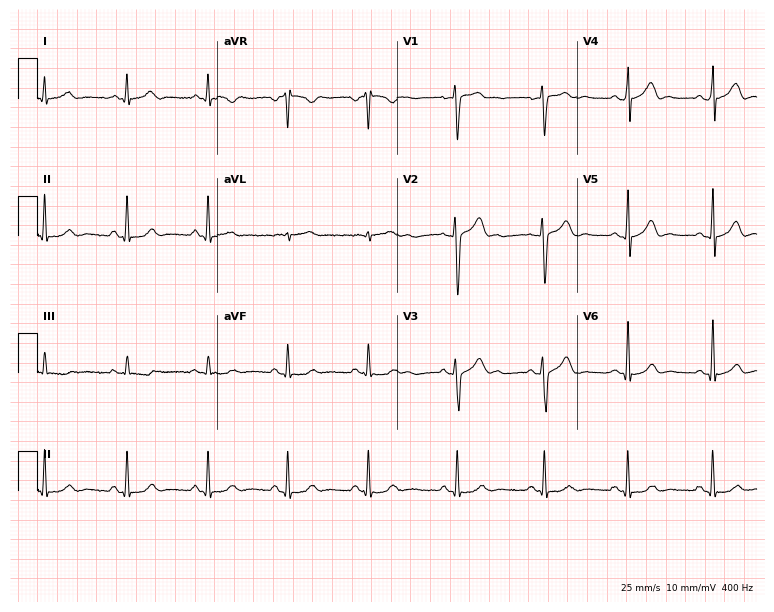
12-lead ECG from a 23-year-old man. Labelled as a normal ECG.